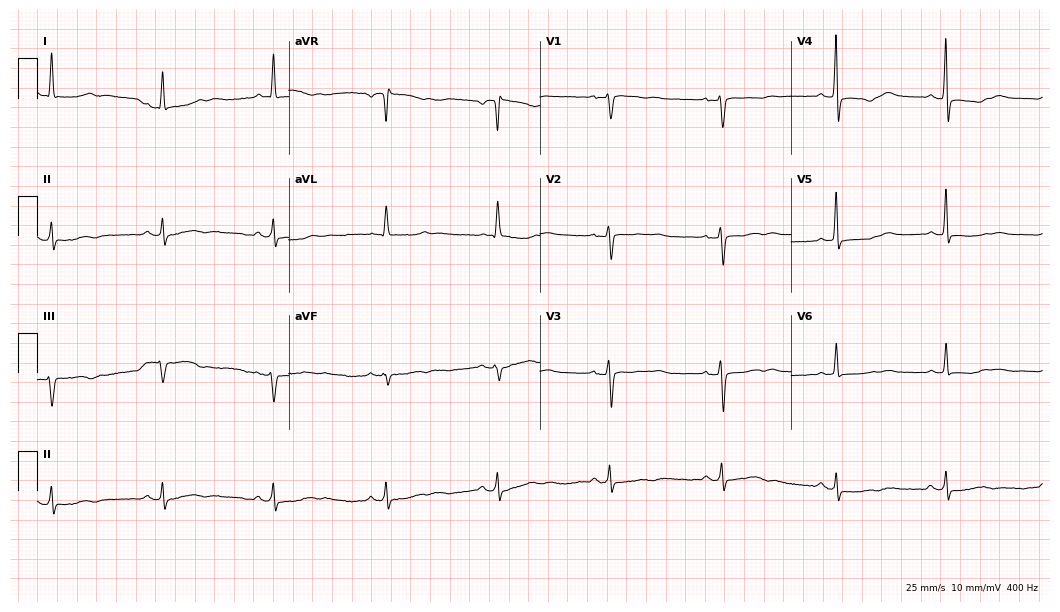
Resting 12-lead electrocardiogram. Patient: a 61-year-old woman. None of these six findings is recorded: first-degree AV block, right bundle branch block, left bundle branch block, sinus bradycardia, atrial fibrillation, sinus tachycardia.